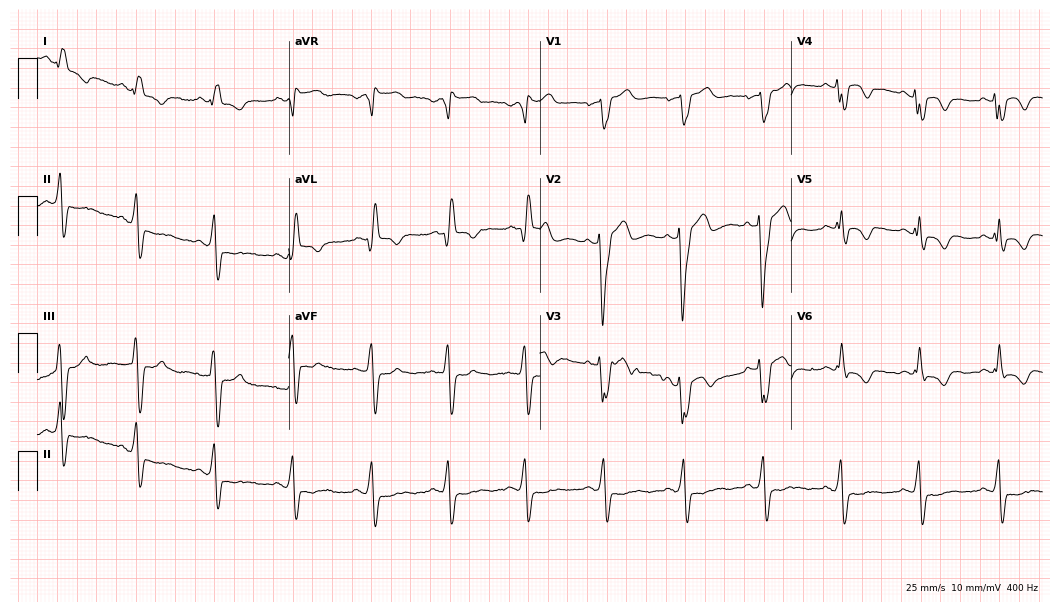
12-lead ECG from a male patient, 68 years old. Findings include left bundle branch block.